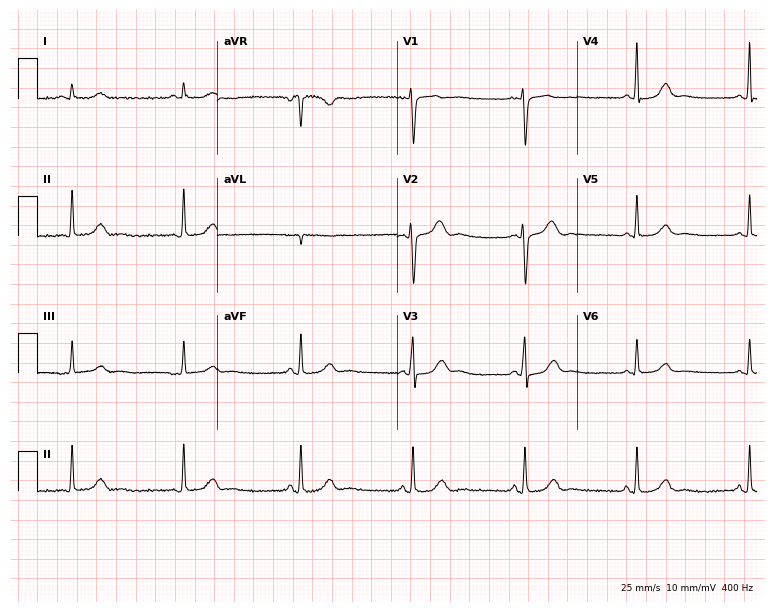
ECG — a 36-year-old female patient. Labelled as a normal ECG.